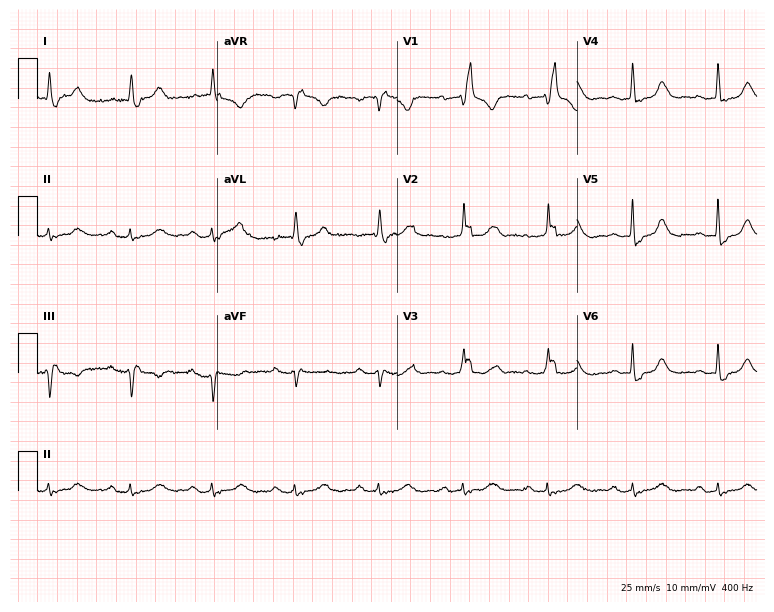
12-lead ECG from an 83-year-old male. Shows right bundle branch block.